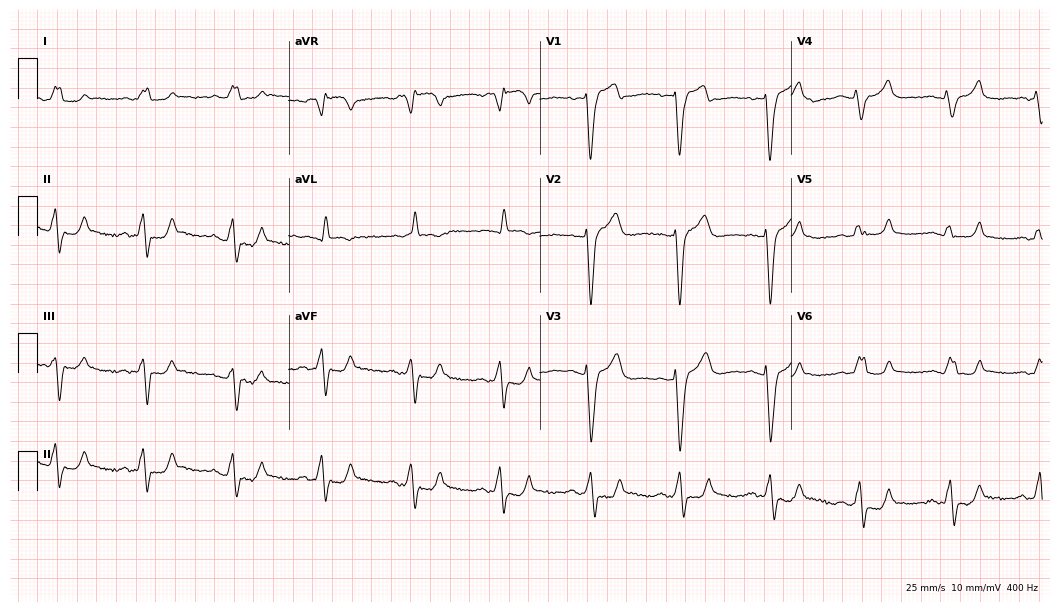
12-lead ECG (10.2-second recording at 400 Hz) from a female, 65 years old. Findings include left bundle branch block.